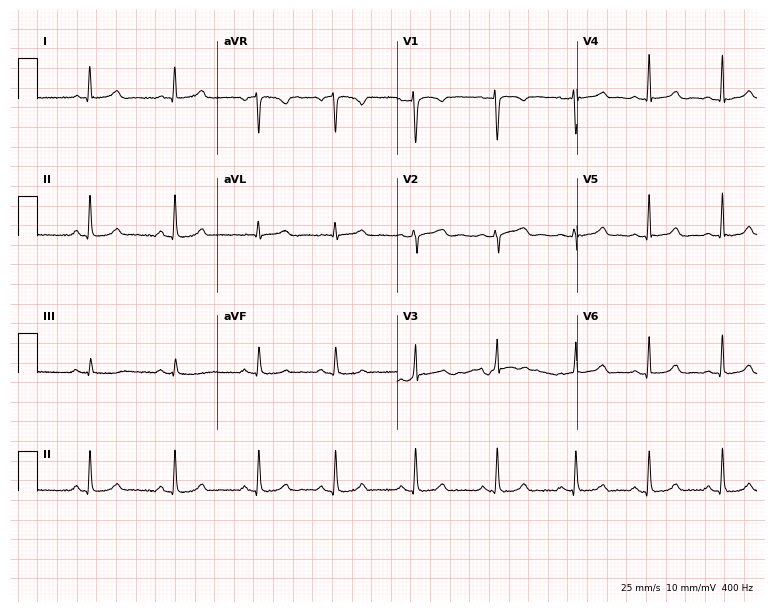
Electrocardiogram (7.3-second recording at 400 Hz), a female, 21 years old. Overall reading on record: normal ECG.